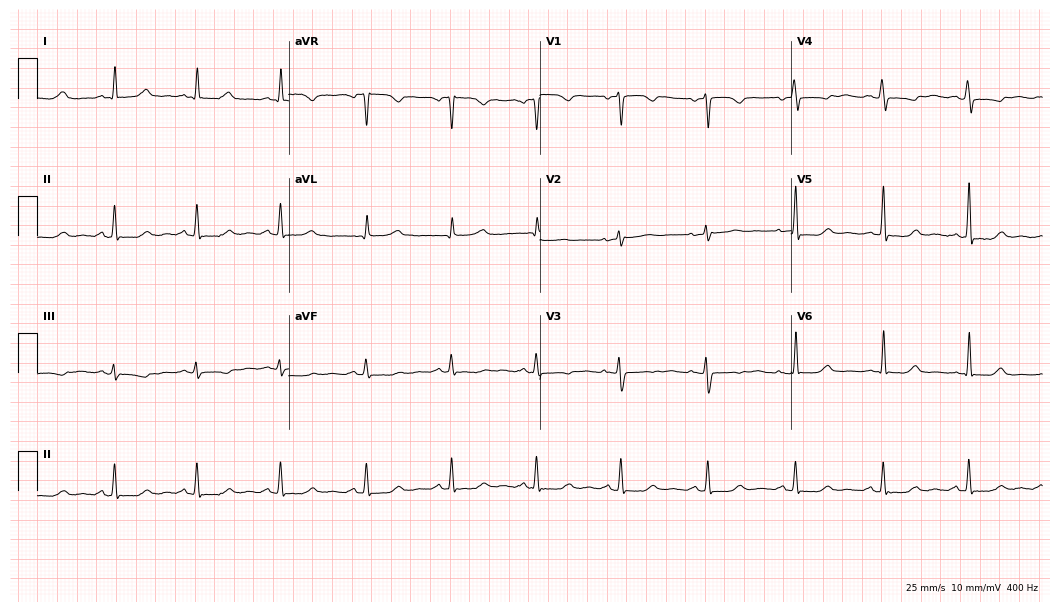
12-lead ECG from a woman, 49 years old. Screened for six findings — first-degree AV block, right bundle branch block (RBBB), left bundle branch block (LBBB), sinus bradycardia, atrial fibrillation (AF), sinus tachycardia — none is recorded. Other findings, if any, are not listed.